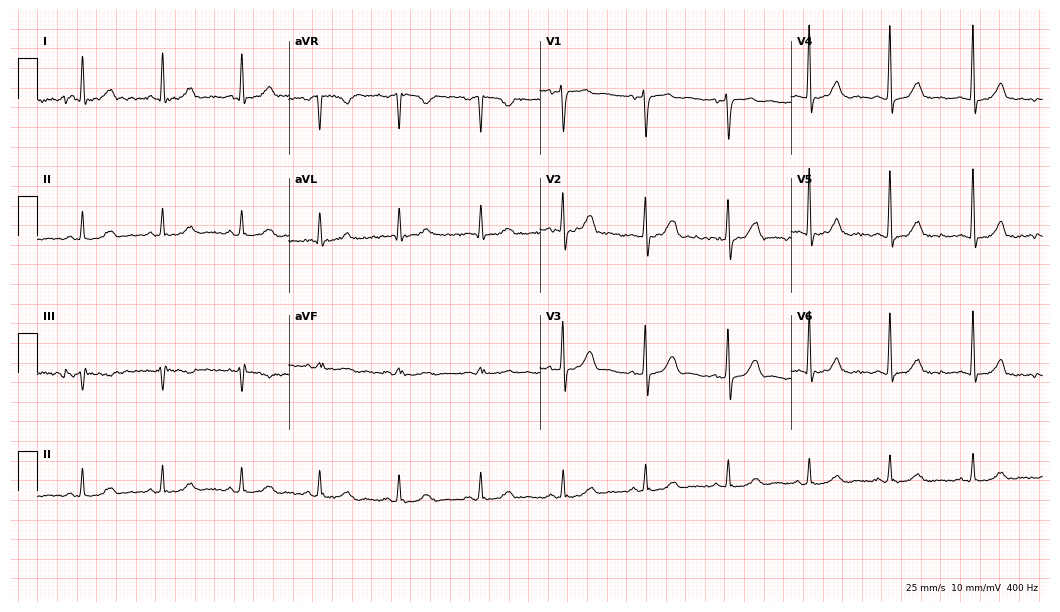
Electrocardiogram, a female patient, 49 years old. Overall reading on record: normal ECG.